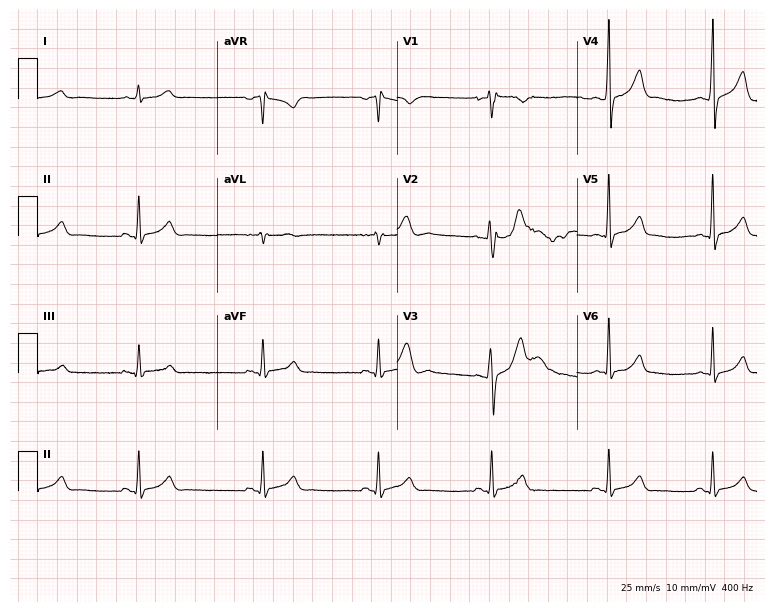
Electrocardiogram, a 20-year-old male. Of the six screened findings (first-degree AV block, right bundle branch block, left bundle branch block, sinus bradycardia, atrial fibrillation, sinus tachycardia), none is recorded.